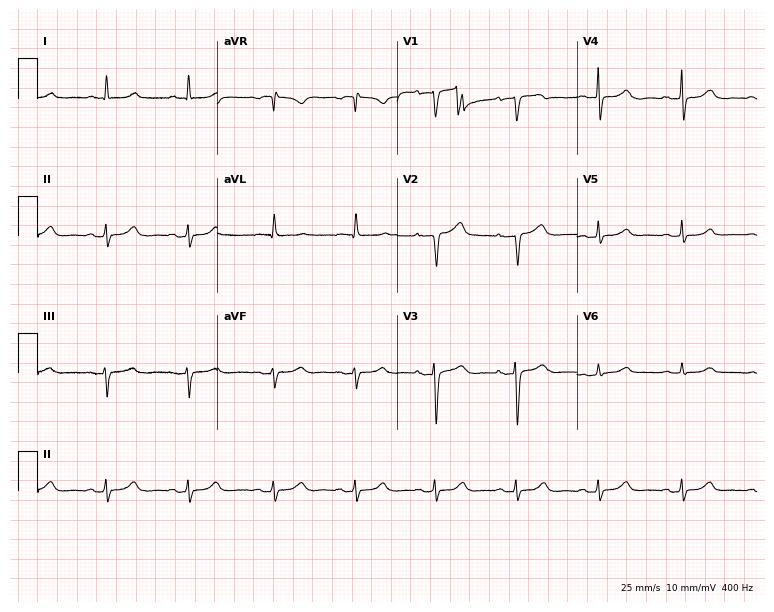
Standard 12-lead ECG recorded from a 76-year-old female (7.3-second recording at 400 Hz). Read as a normal ECG.